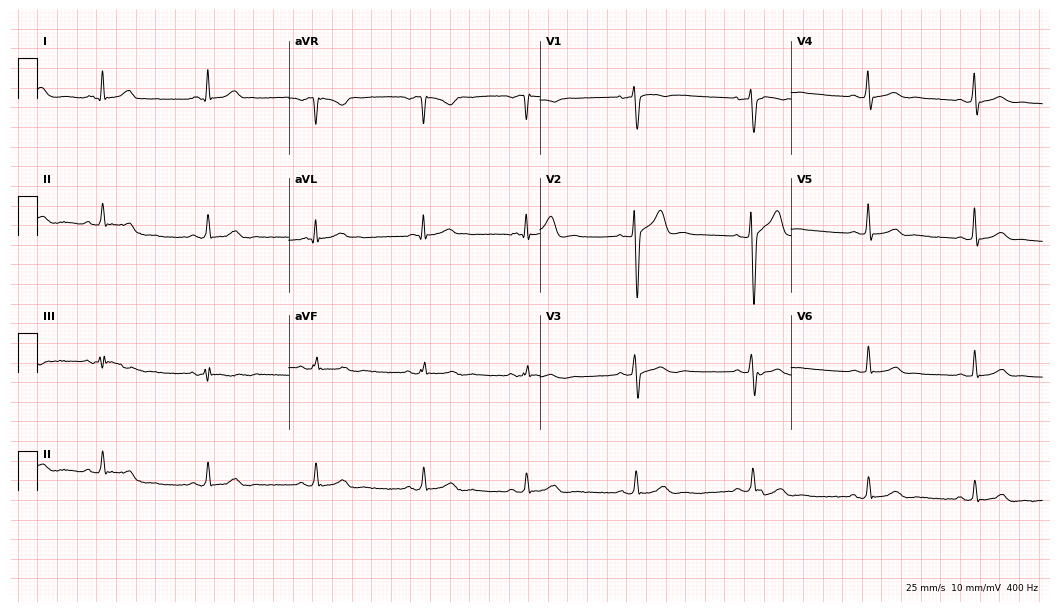
ECG — a male patient, 23 years old. Screened for six findings — first-degree AV block, right bundle branch block, left bundle branch block, sinus bradycardia, atrial fibrillation, sinus tachycardia — none is recorded.